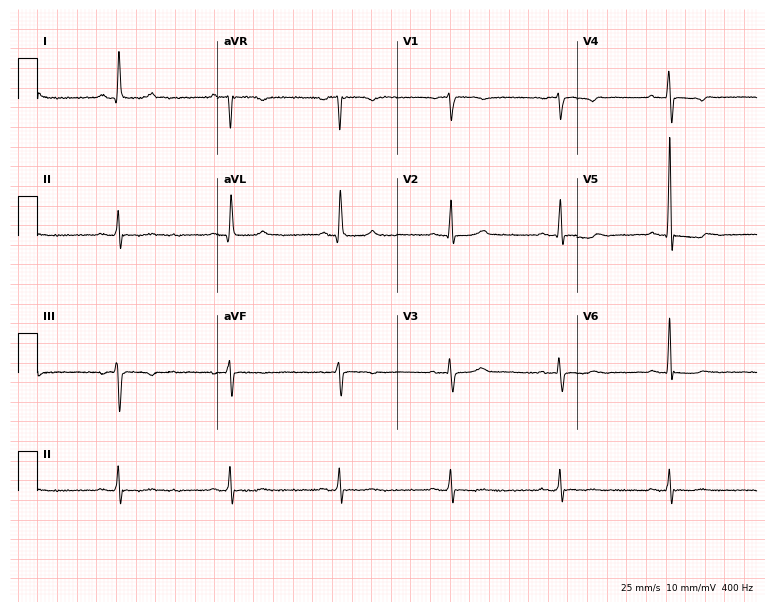
ECG — a 78-year-old woman. Screened for six findings — first-degree AV block, right bundle branch block (RBBB), left bundle branch block (LBBB), sinus bradycardia, atrial fibrillation (AF), sinus tachycardia — none is recorded. Only these six findings were labelled.